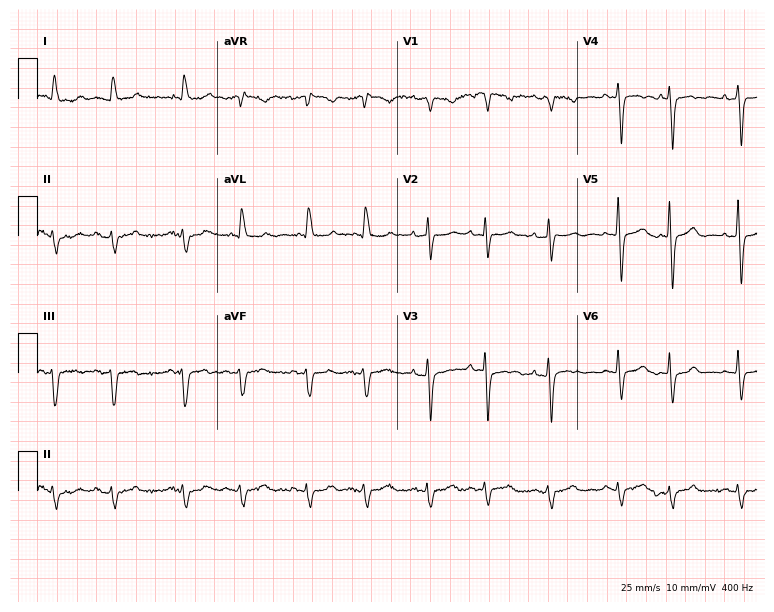
12-lead ECG (7.3-second recording at 400 Hz) from a woman, 65 years old. Screened for six findings — first-degree AV block, right bundle branch block, left bundle branch block, sinus bradycardia, atrial fibrillation, sinus tachycardia — none is recorded. Findings outside these six are not listed.